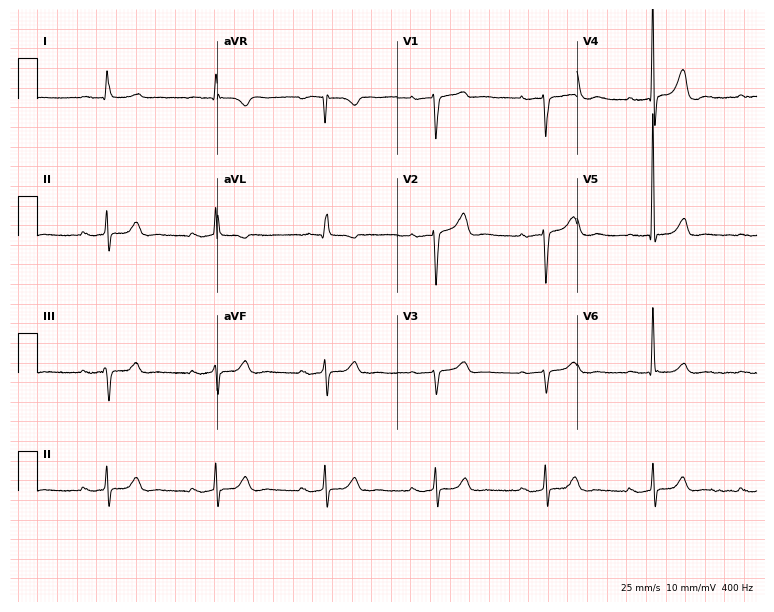
Standard 12-lead ECG recorded from a woman, 82 years old (7.3-second recording at 400 Hz). The tracing shows first-degree AV block.